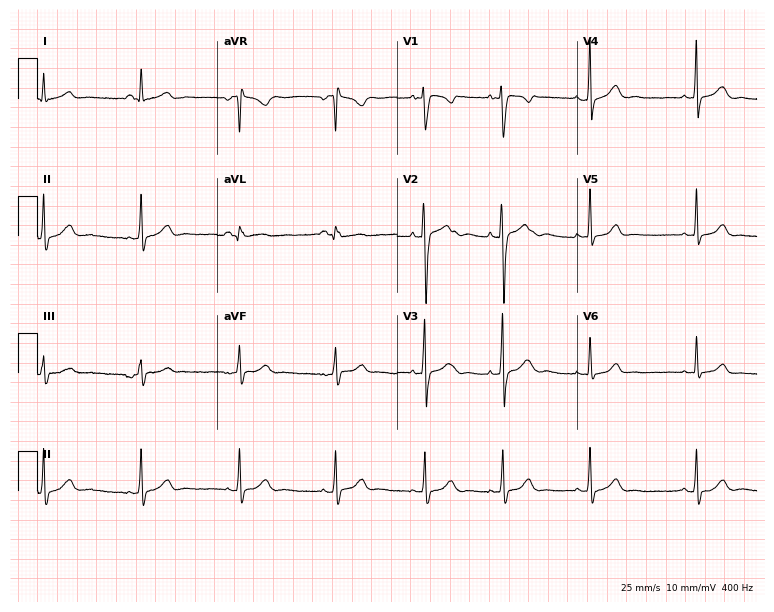
ECG — a female, 17 years old. Screened for six findings — first-degree AV block, right bundle branch block, left bundle branch block, sinus bradycardia, atrial fibrillation, sinus tachycardia — none is recorded.